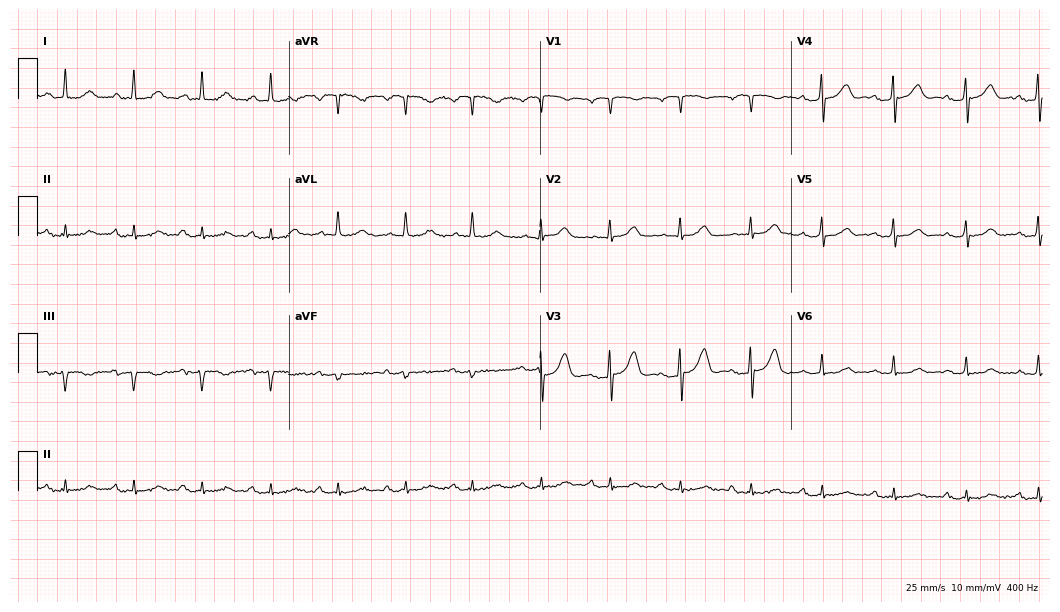
Standard 12-lead ECG recorded from a woman, 83 years old (10.2-second recording at 400 Hz). Read as a normal ECG.